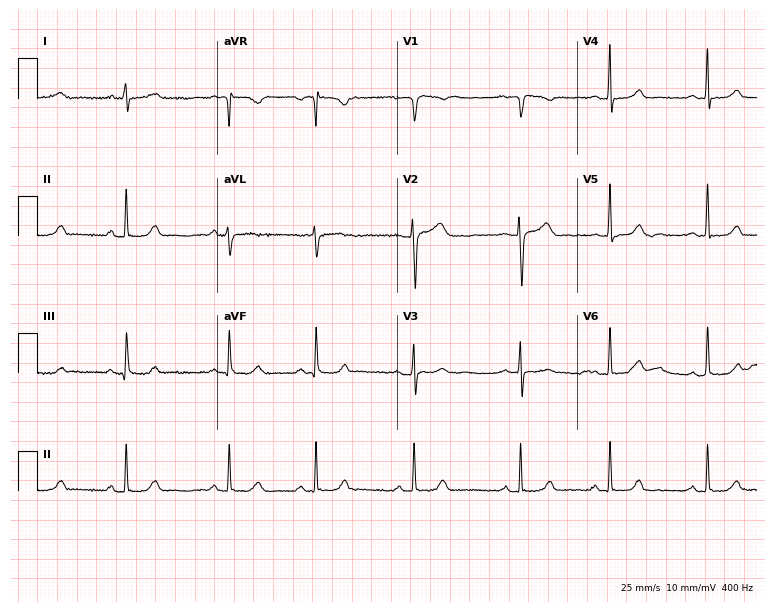
12-lead ECG from a female, 28 years old. Recorded interpretation: within normal limits.